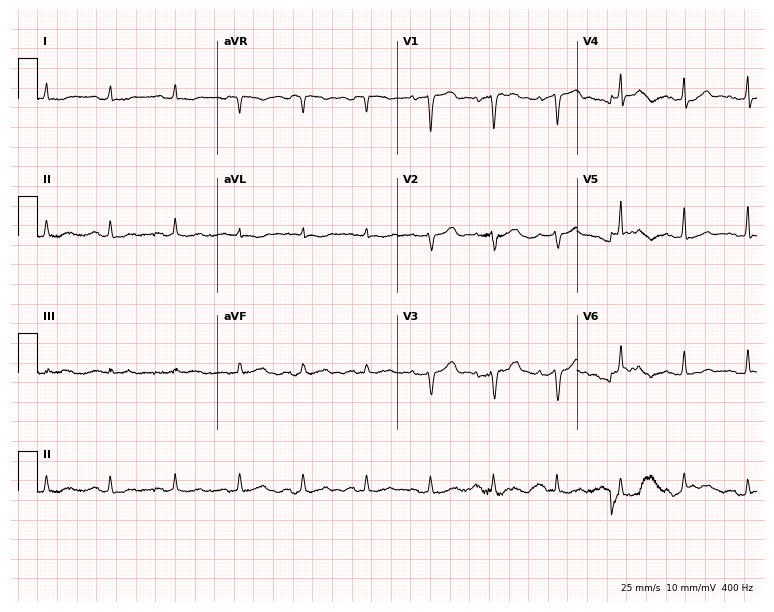
12-lead ECG from a woman, 78 years old (7.3-second recording at 400 Hz). No first-degree AV block, right bundle branch block, left bundle branch block, sinus bradycardia, atrial fibrillation or sinus tachycardia recorded for this tracing. Only these six findings were labelled.